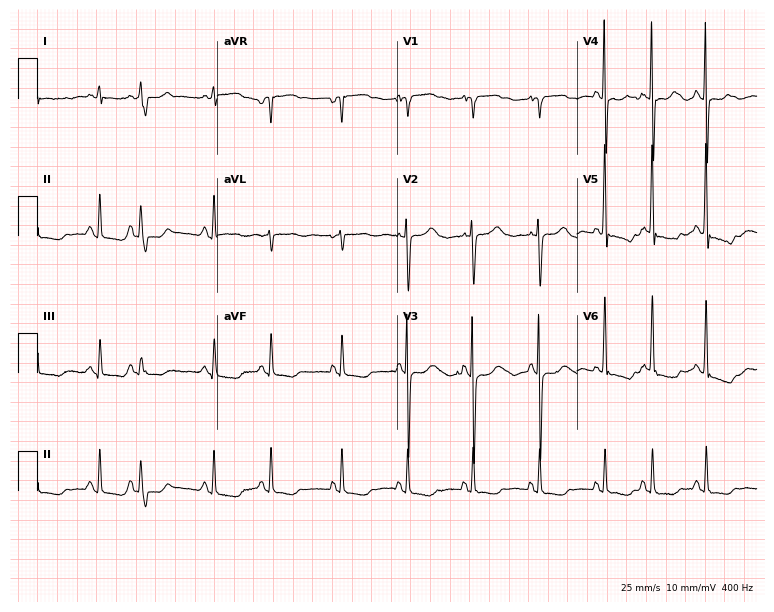
12-lead ECG from a woman, 82 years old. Screened for six findings — first-degree AV block, right bundle branch block, left bundle branch block, sinus bradycardia, atrial fibrillation, sinus tachycardia — none is recorded.